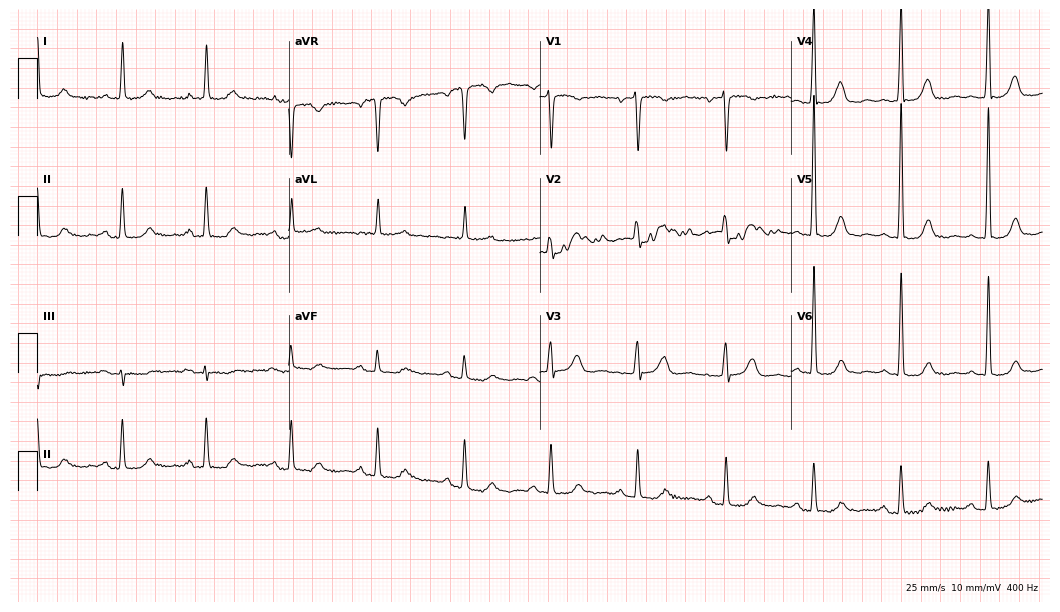
Standard 12-lead ECG recorded from a 77-year-old female patient (10.2-second recording at 400 Hz). None of these six findings is recorded: first-degree AV block, right bundle branch block, left bundle branch block, sinus bradycardia, atrial fibrillation, sinus tachycardia. Only these six findings were labelled.